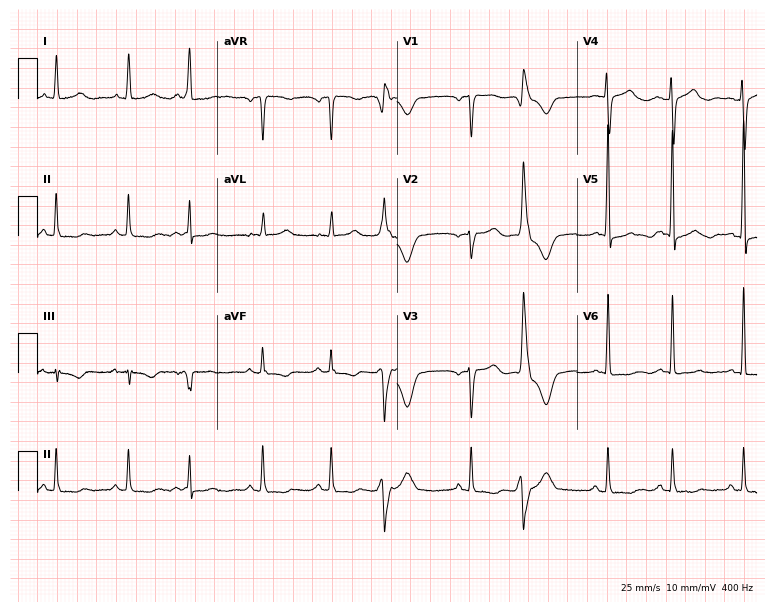
12-lead ECG from a female, 77 years old (7.3-second recording at 400 Hz). No first-degree AV block, right bundle branch block, left bundle branch block, sinus bradycardia, atrial fibrillation or sinus tachycardia recorded for this tracing.